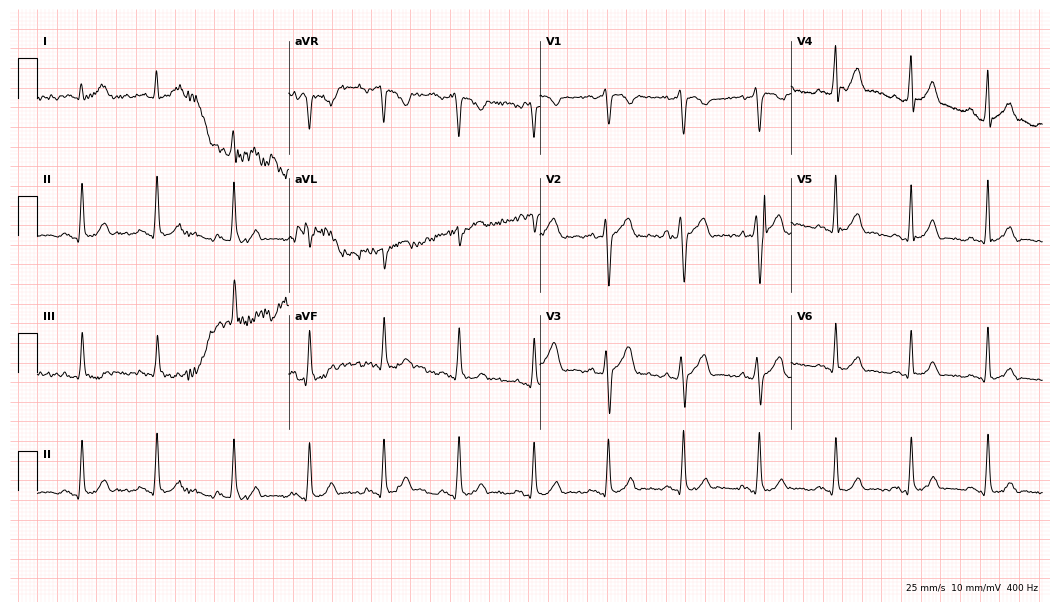
Resting 12-lead electrocardiogram. Patient: a man, 38 years old. None of these six findings is recorded: first-degree AV block, right bundle branch block, left bundle branch block, sinus bradycardia, atrial fibrillation, sinus tachycardia. Findings outside these six are not listed.